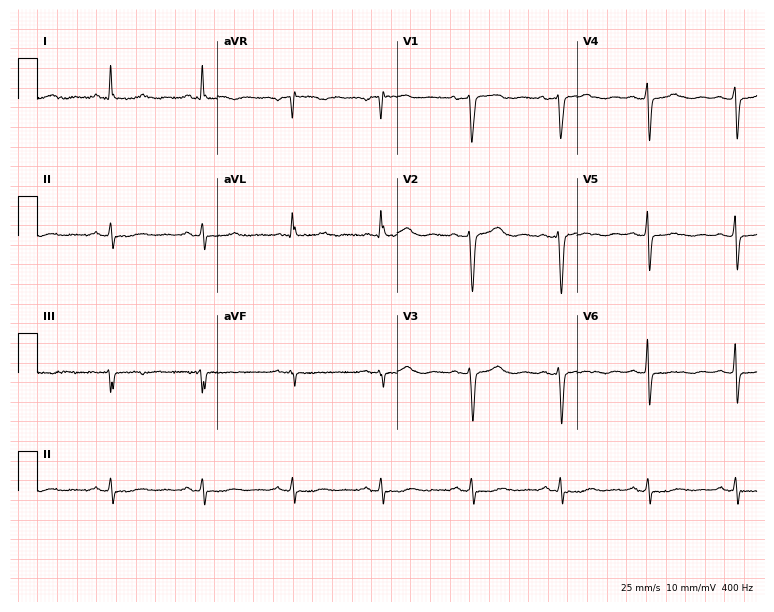
Resting 12-lead electrocardiogram. Patient: a female, 65 years old. None of these six findings is recorded: first-degree AV block, right bundle branch block, left bundle branch block, sinus bradycardia, atrial fibrillation, sinus tachycardia. Findings outside these six are not listed.